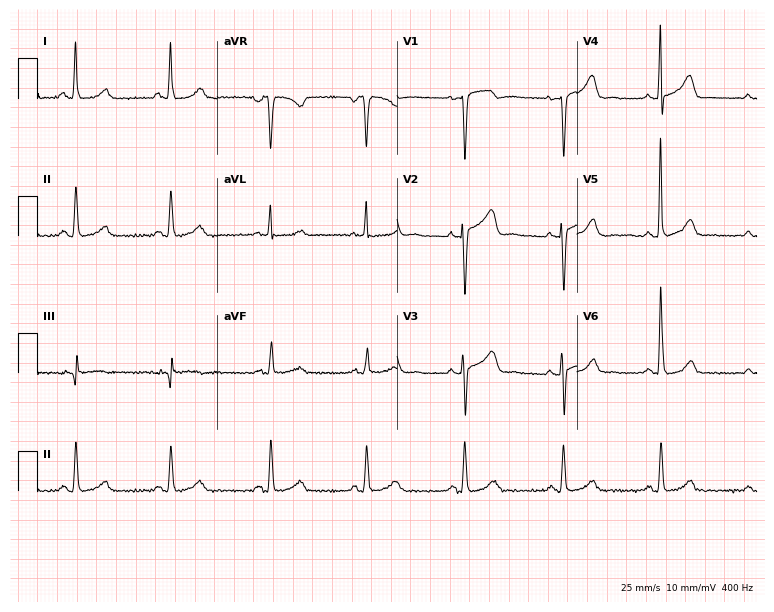
12-lead ECG (7.3-second recording at 400 Hz) from a 55-year-old female. Labelled as a normal ECG.